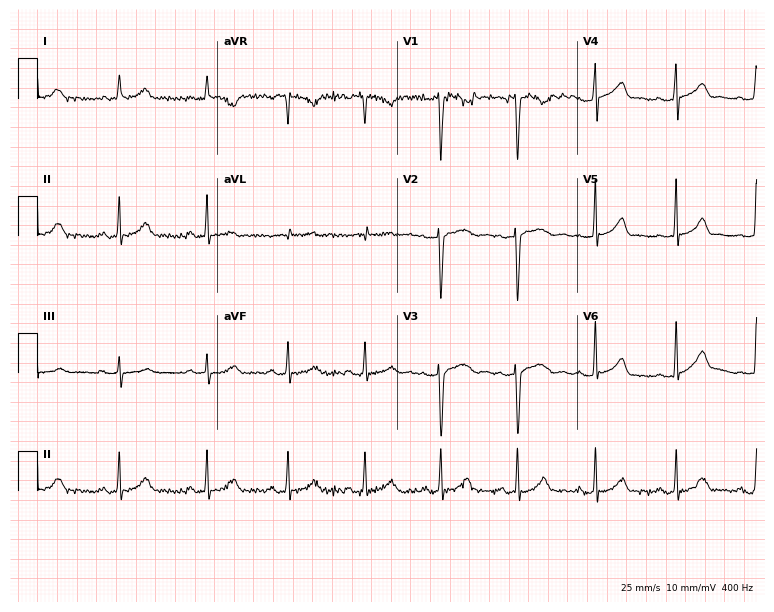
Electrocardiogram, a woman, 45 years old. Overall reading on record: normal ECG.